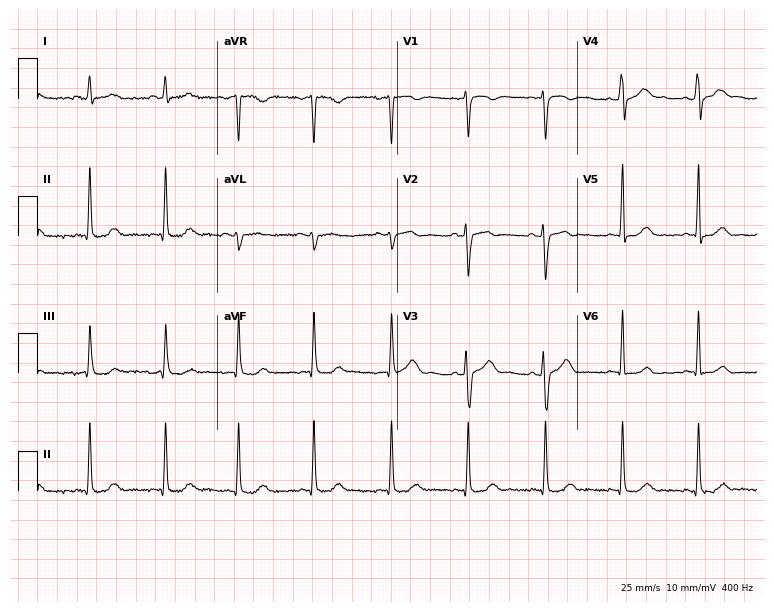
12-lead ECG from a female, 36 years old. Recorded interpretation: within normal limits.